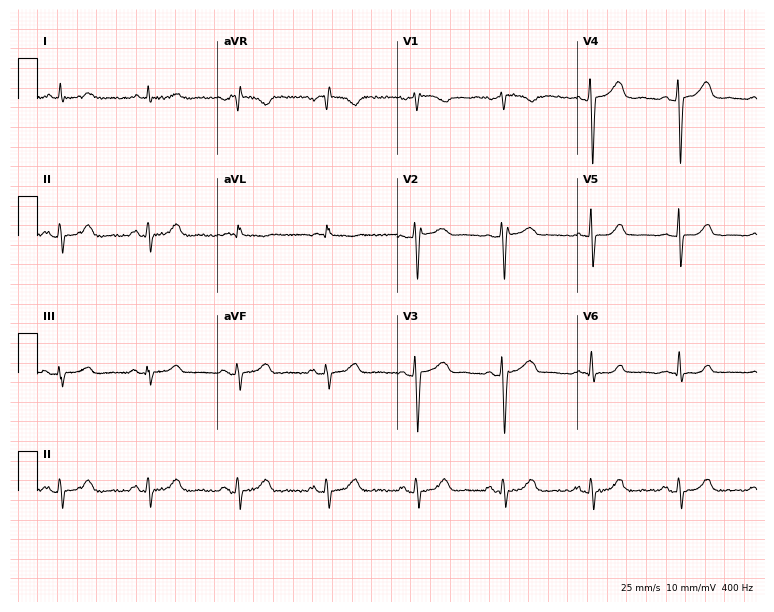
ECG — a female, 63 years old. Screened for six findings — first-degree AV block, right bundle branch block (RBBB), left bundle branch block (LBBB), sinus bradycardia, atrial fibrillation (AF), sinus tachycardia — none is recorded. Only these six findings were labelled.